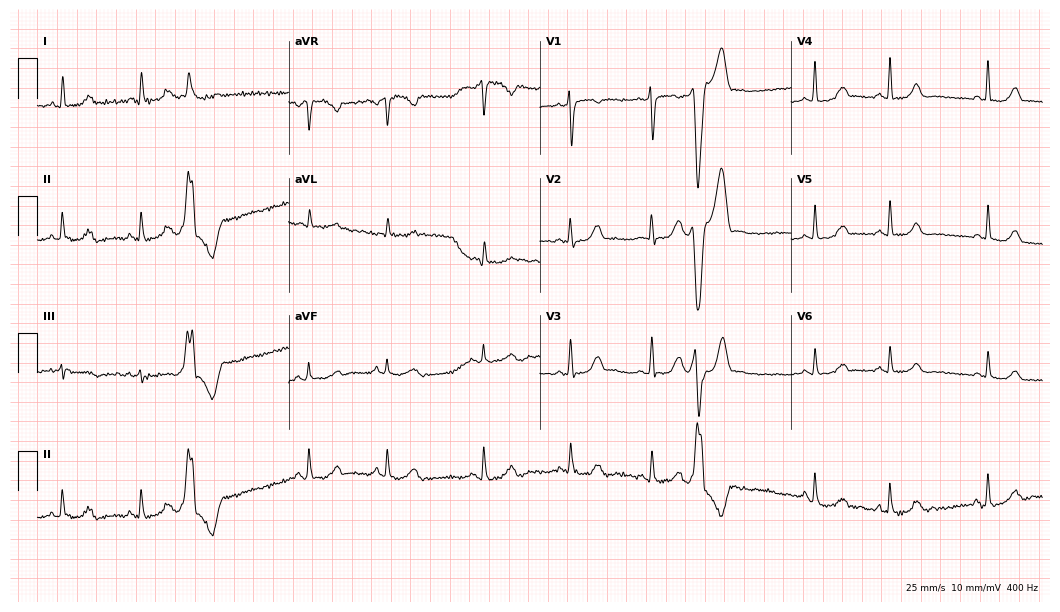
Standard 12-lead ECG recorded from an 18-year-old female patient. None of these six findings is recorded: first-degree AV block, right bundle branch block, left bundle branch block, sinus bradycardia, atrial fibrillation, sinus tachycardia.